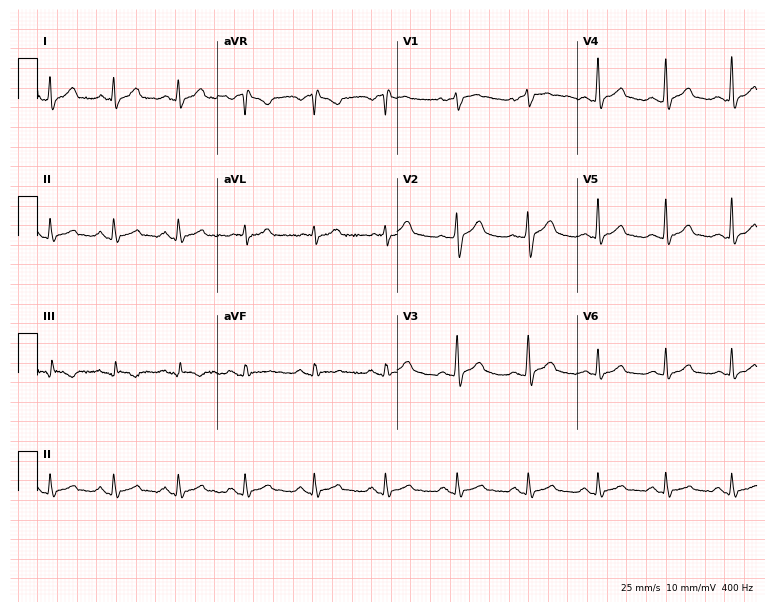
Resting 12-lead electrocardiogram (7.3-second recording at 400 Hz). Patient: a 36-year-old male. Read as a normal ECG.